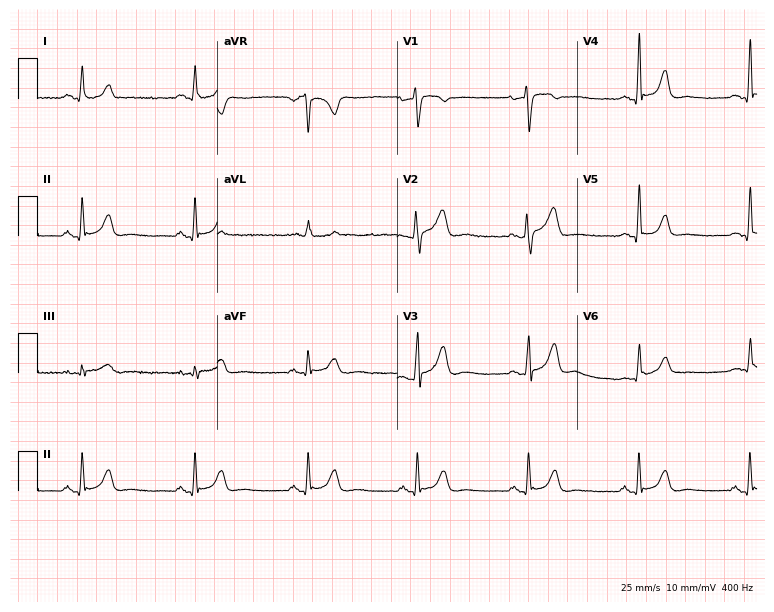
Resting 12-lead electrocardiogram (7.3-second recording at 400 Hz). Patient: a 37-year-old woman. Read as a normal ECG.